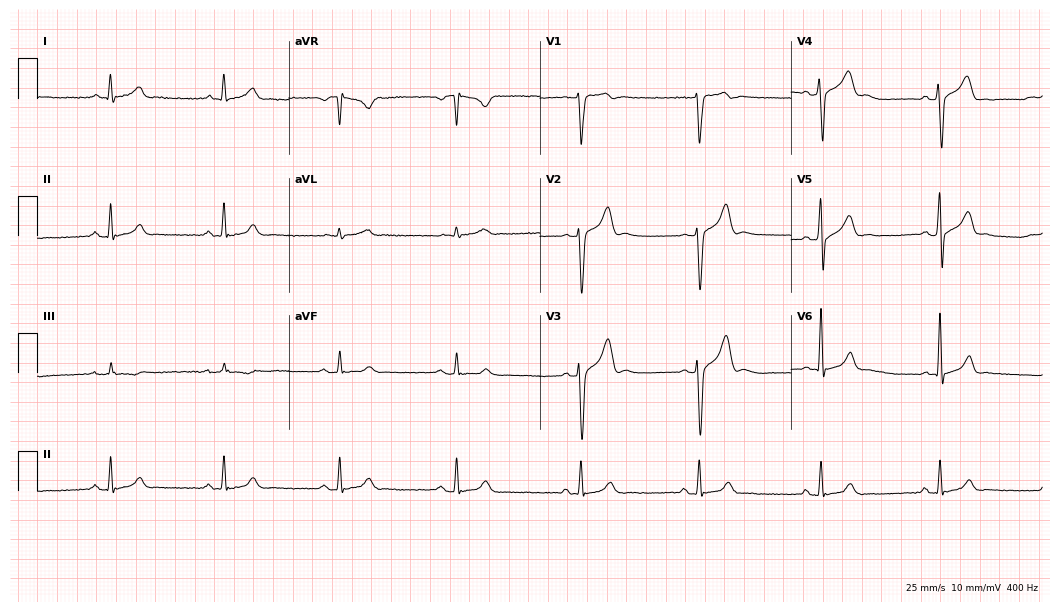
12-lead ECG from a male, 47 years old. No first-degree AV block, right bundle branch block, left bundle branch block, sinus bradycardia, atrial fibrillation or sinus tachycardia recorded for this tracing.